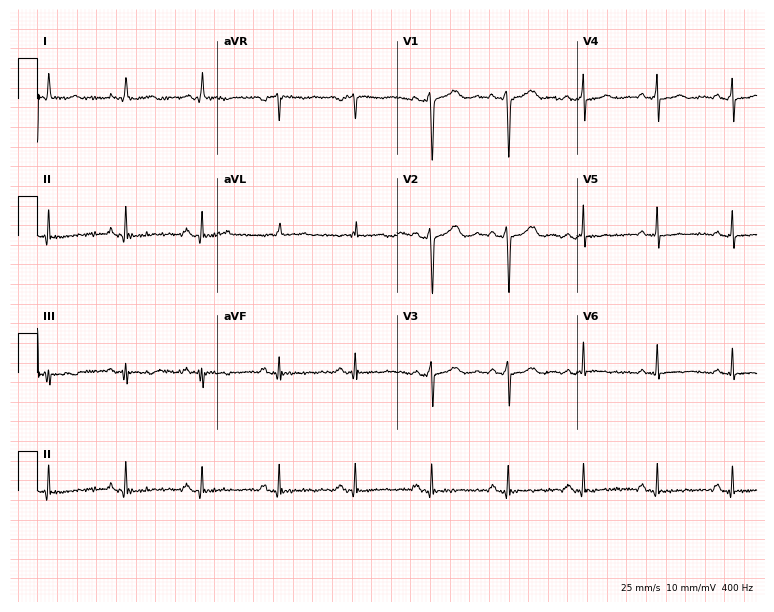
Standard 12-lead ECG recorded from a female, 39 years old. None of these six findings is recorded: first-degree AV block, right bundle branch block (RBBB), left bundle branch block (LBBB), sinus bradycardia, atrial fibrillation (AF), sinus tachycardia. Only these six findings were labelled.